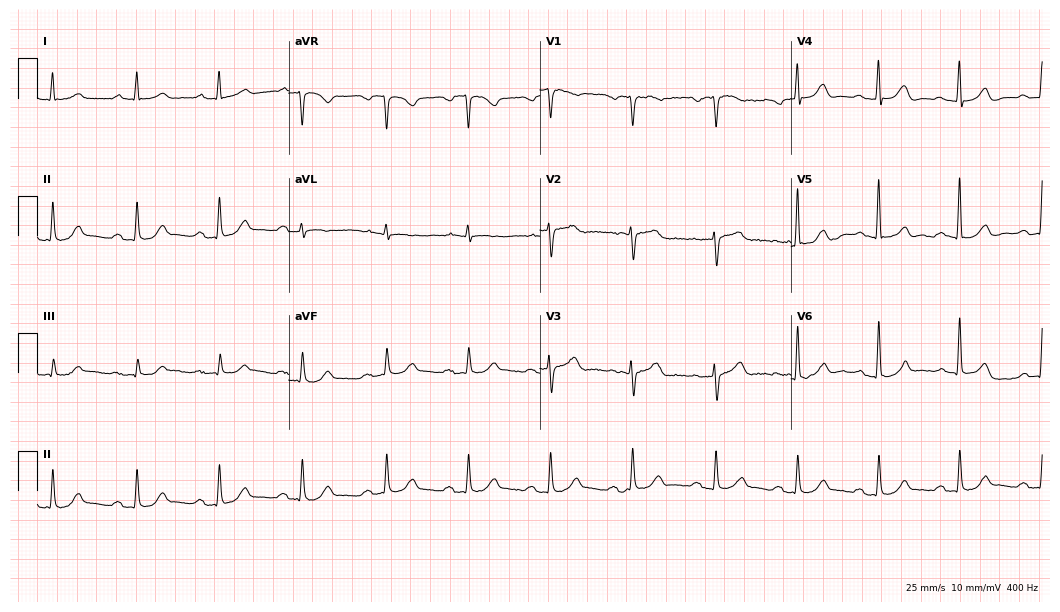
Resting 12-lead electrocardiogram. Patient: a 76-year-old male. The tracing shows first-degree AV block.